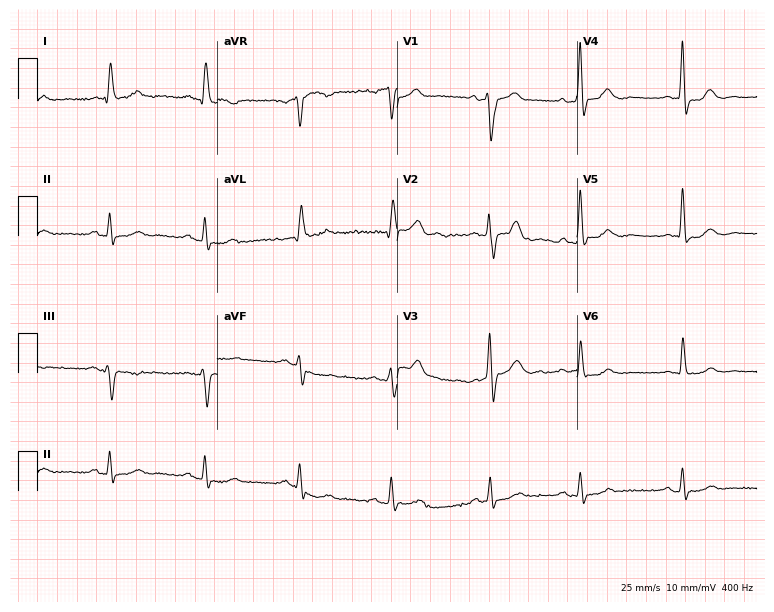
ECG (7.3-second recording at 400 Hz) — a male patient, 71 years old. Findings include left bundle branch block (LBBB).